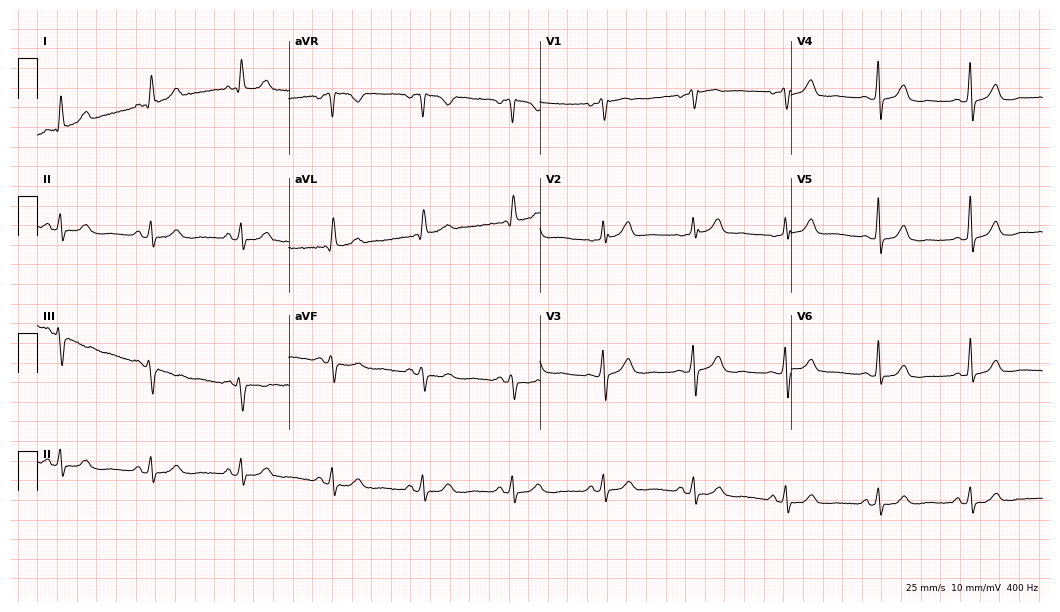
Electrocardiogram (10.2-second recording at 400 Hz), a 63-year-old female patient. Overall reading on record: normal ECG.